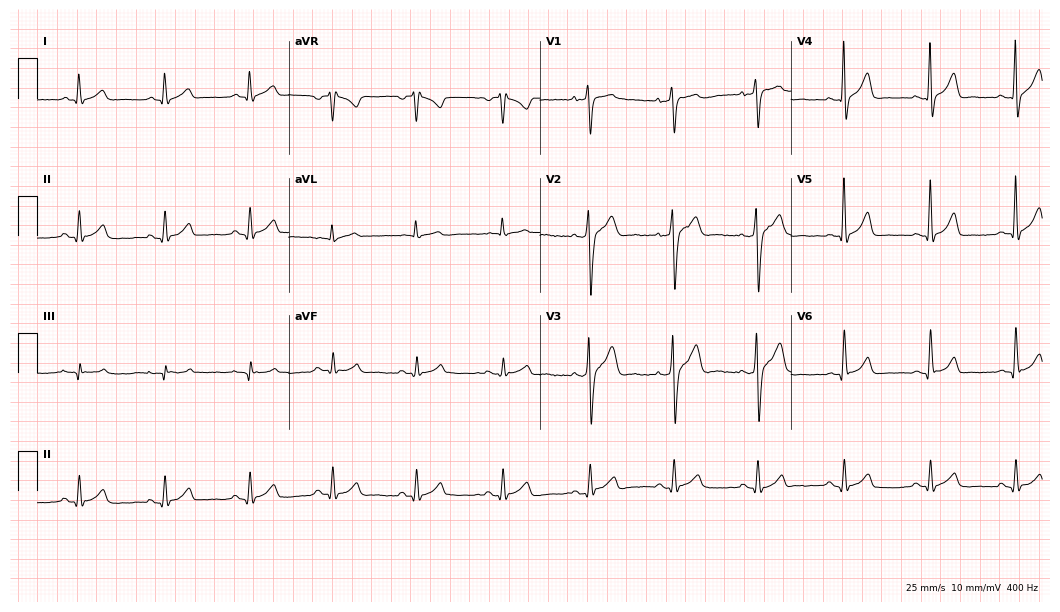
Resting 12-lead electrocardiogram (10.2-second recording at 400 Hz). Patient: a 35-year-old male. Read as a normal ECG.